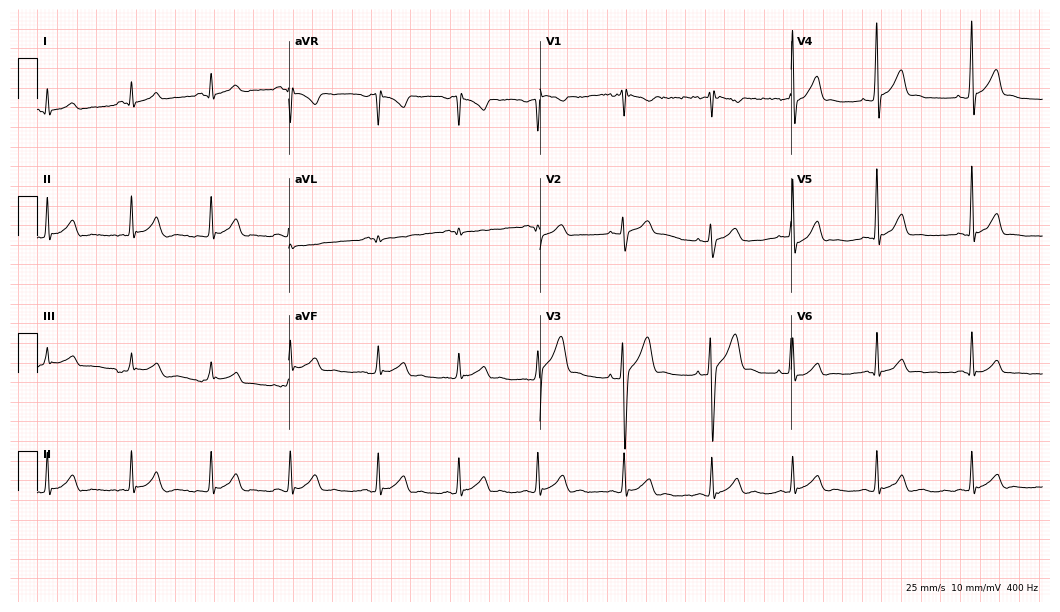
12-lead ECG from a male patient, 19 years old. Recorded interpretation: within normal limits.